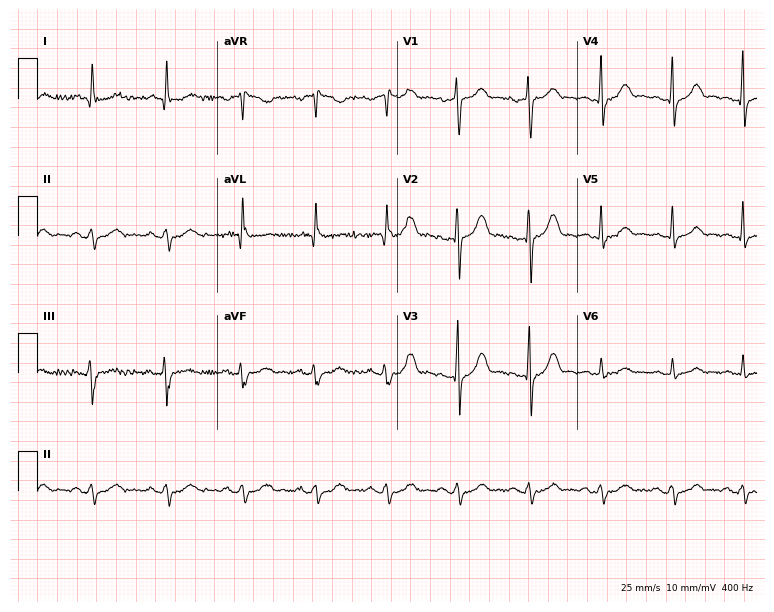
ECG (7.3-second recording at 400 Hz) — a male, 66 years old. Screened for six findings — first-degree AV block, right bundle branch block, left bundle branch block, sinus bradycardia, atrial fibrillation, sinus tachycardia — none is recorded. Findings outside these six are not listed.